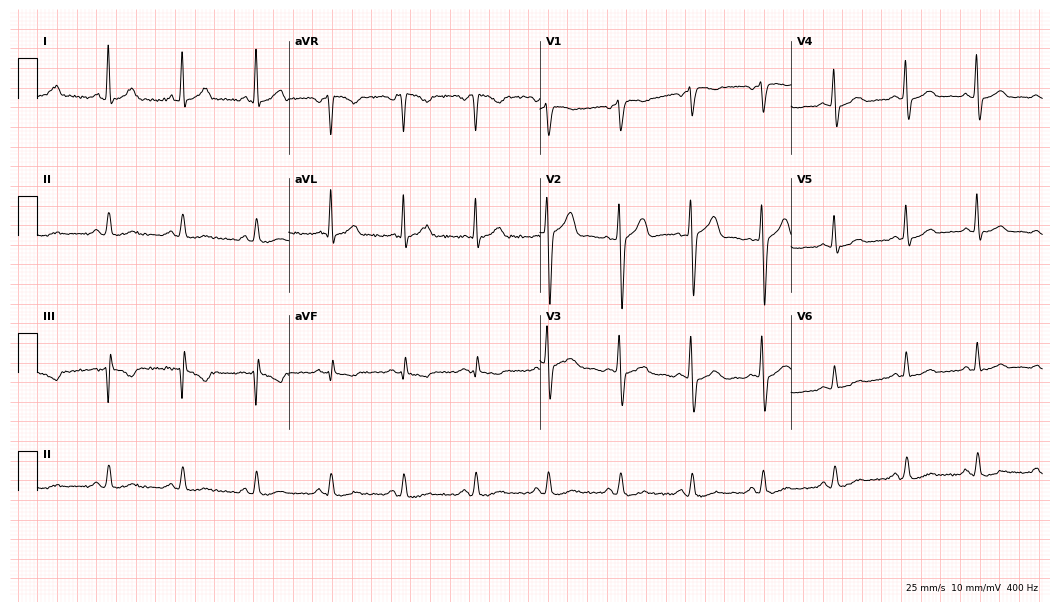
ECG (10.2-second recording at 400 Hz) — a 44-year-old male. Labelled as a normal ECG.